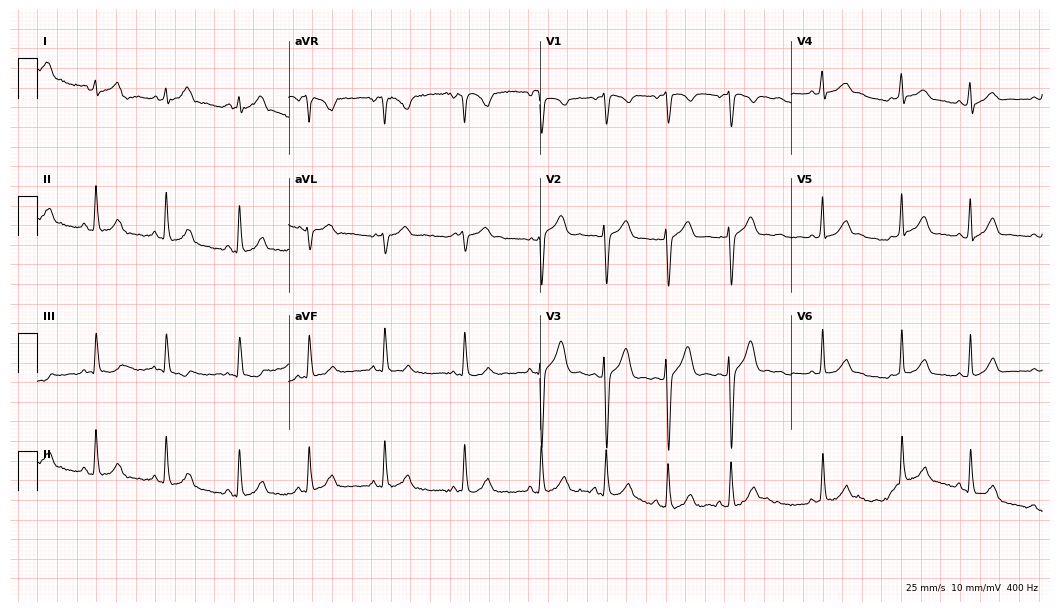
12-lead ECG from a 23-year-old man. No first-degree AV block, right bundle branch block, left bundle branch block, sinus bradycardia, atrial fibrillation or sinus tachycardia recorded for this tracing. Only these six findings were labelled.